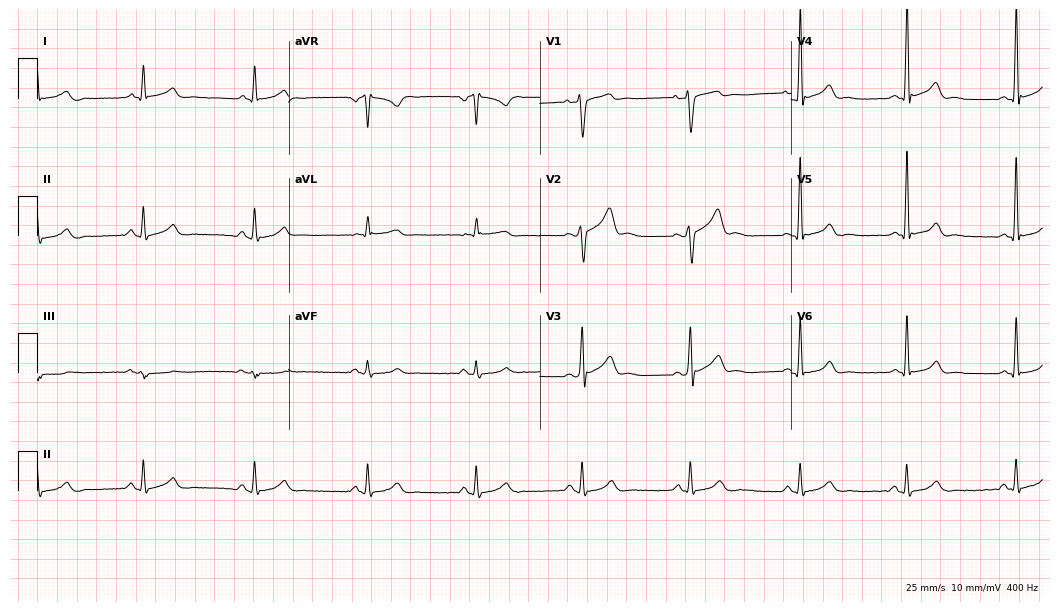
ECG — a 41-year-old male patient. Labelled as a normal ECG.